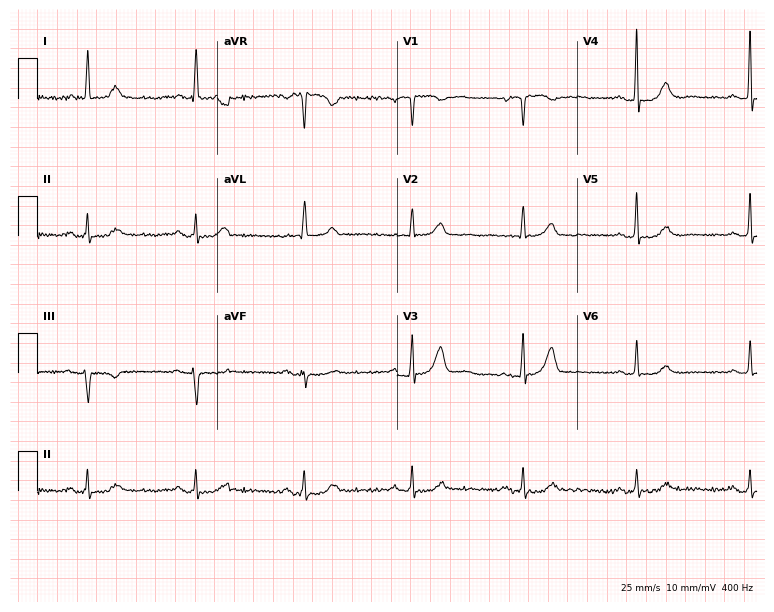
Standard 12-lead ECG recorded from a female, 64 years old. None of these six findings is recorded: first-degree AV block, right bundle branch block (RBBB), left bundle branch block (LBBB), sinus bradycardia, atrial fibrillation (AF), sinus tachycardia. Only these six findings were labelled.